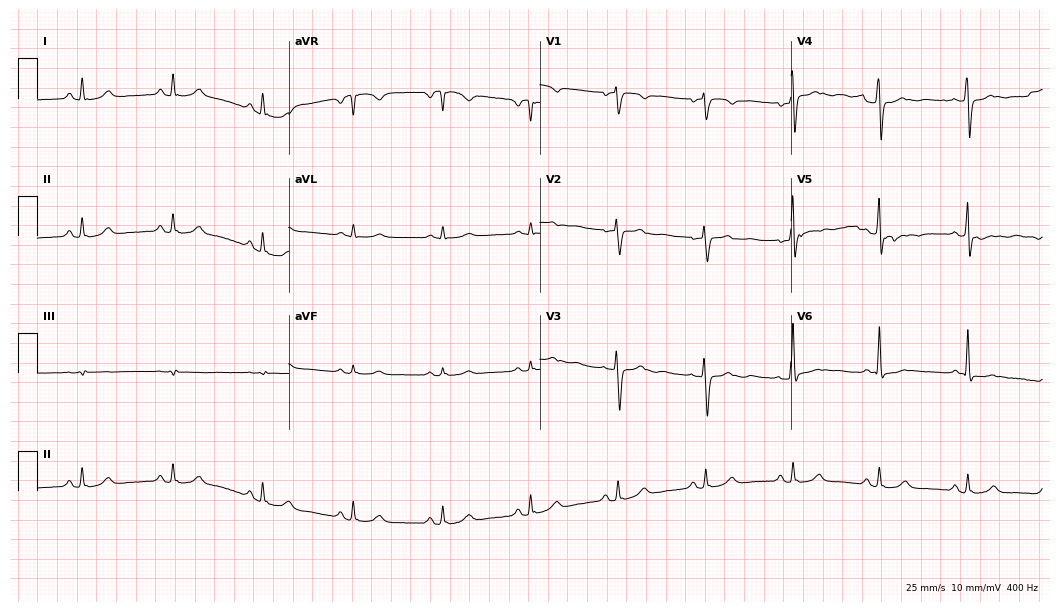
12-lead ECG (10.2-second recording at 400 Hz) from a female, 78 years old. Screened for six findings — first-degree AV block, right bundle branch block (RBBB), left bundle branch block (LBBB), sinus bradycardia, atrial fibrillation (AF), sinus tachycardia — none is recorded. Findings outside these six are not listed.